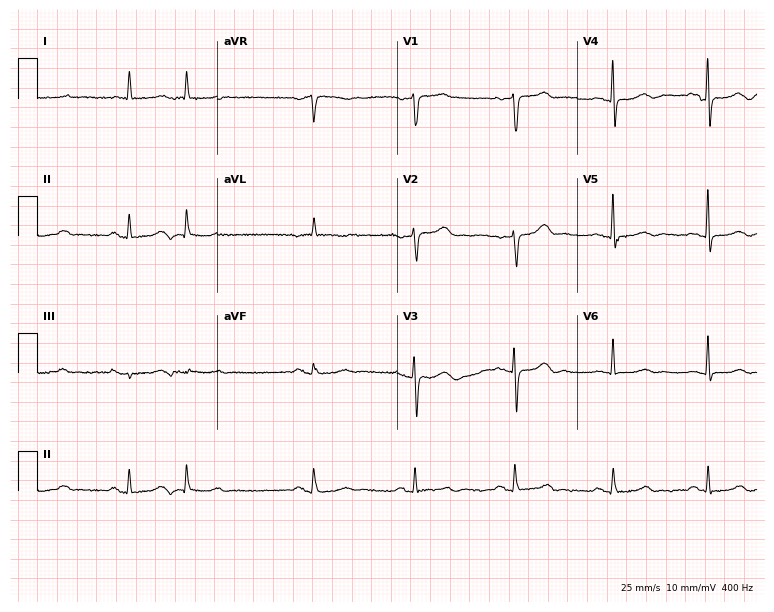
12-lead ECG (7.3-second recording at 400 Hz) from a 79-year-old female patient. Screened for six findings — first-degree AV block, right bundle branch block (RBBB), left bundle branch block (LBBB), sinus bradycardia, atrial fibrillation (AF), sinus tachycardia — none is recorded.